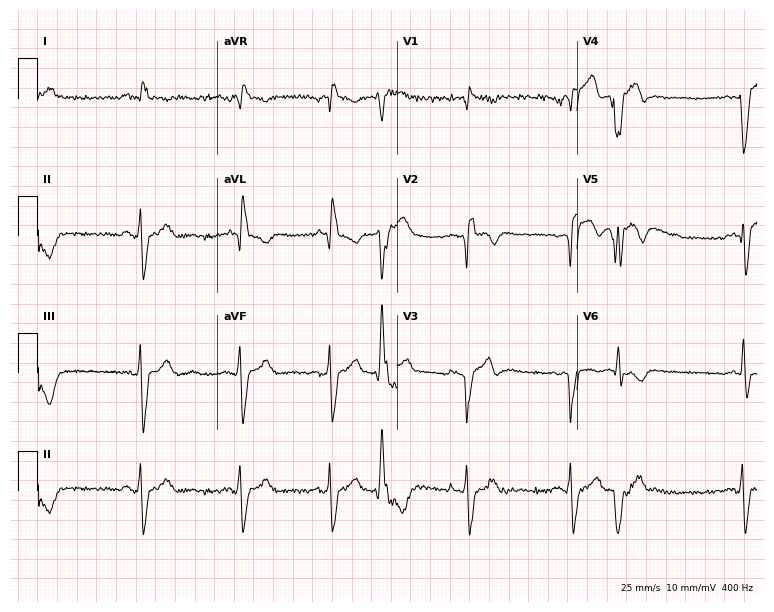
12-lead ECG from an 84-year-old male. Findings include right bundle branch block.